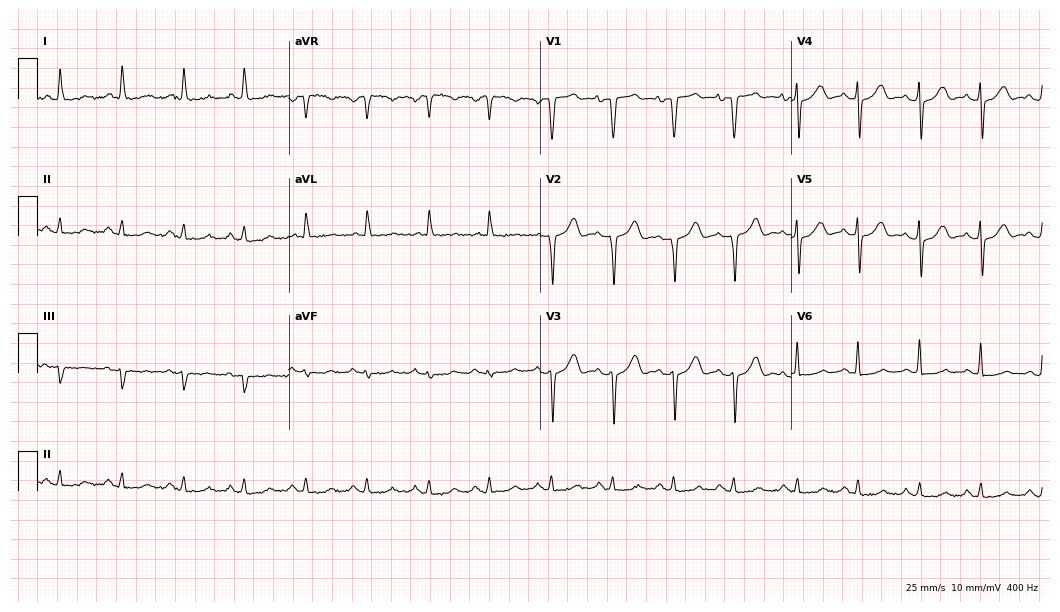
Standard 12-lead ECG recorded from an 83-year-old female patient (10.2-second recording at 400 Hz). Read as a normal ECG.